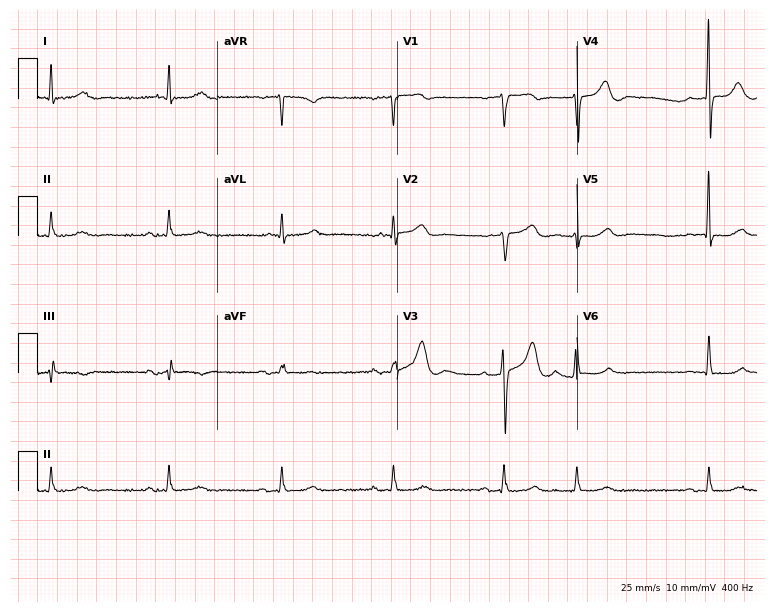
12-lead ECG from a man, 85 years old. Screened for six findings — first-degree AV block, right bundle branch block, left bundle branch block, sinus bradycardia, atrial fibrillation, sinus tachycardia — none is recorded. Other findings, if any, are not listed.